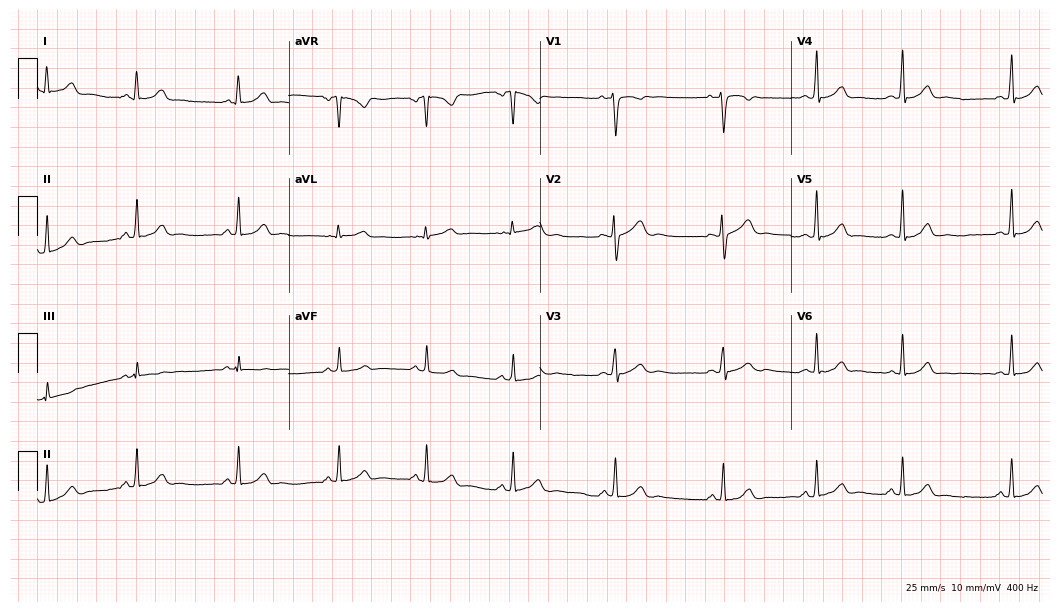
ECG (10.2-second recording at 400 Hz) — a female patient, 20 years old. Labelled as a normal ECG.